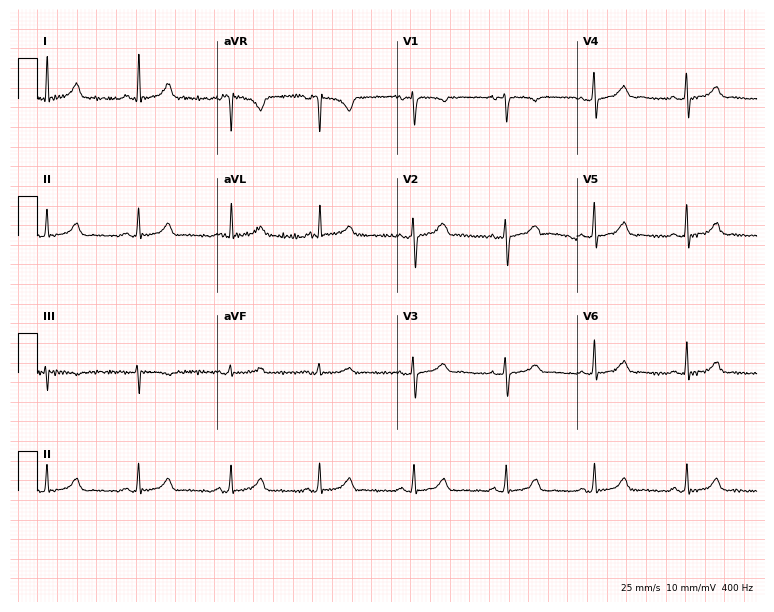
ECG — a 42-year-old female. Labelled as a normal ECG.